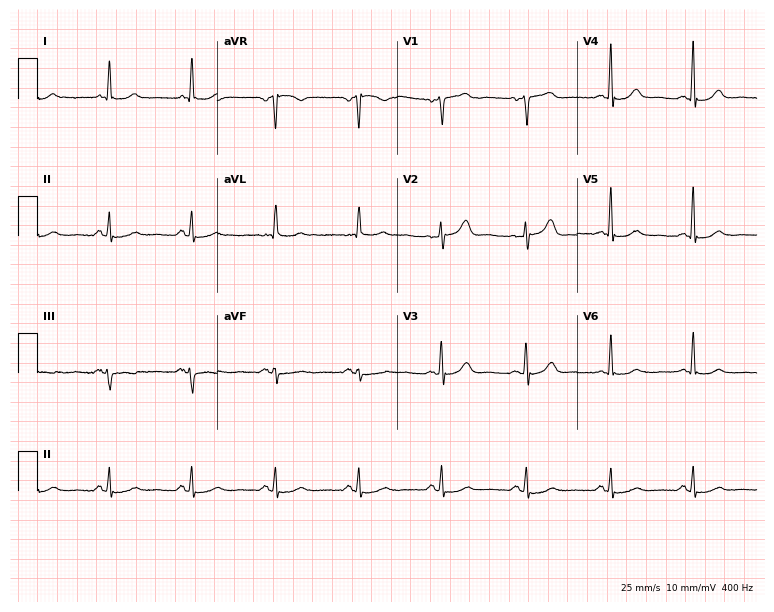
12-lead ECG from a 60-year-old female patient (7.3-second recording at 400 Hz). No first-degree AV block, right bundle branch block, left bundle branch block, sinus bradycardia, atrial fibrillation or sinus tachycardia recorded for this tracing.